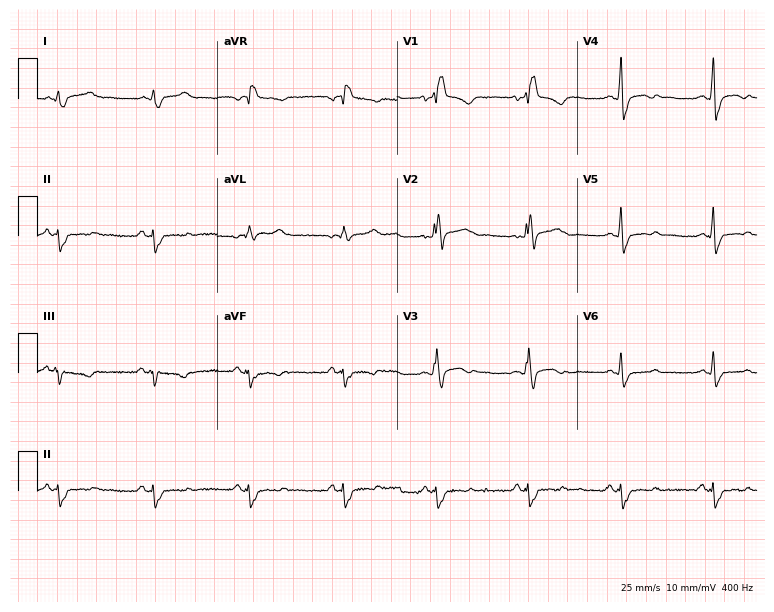
Resting 12-lead electrocardiogram. Patient: a man, 34 years old. The tracing shows right bundle branch block.